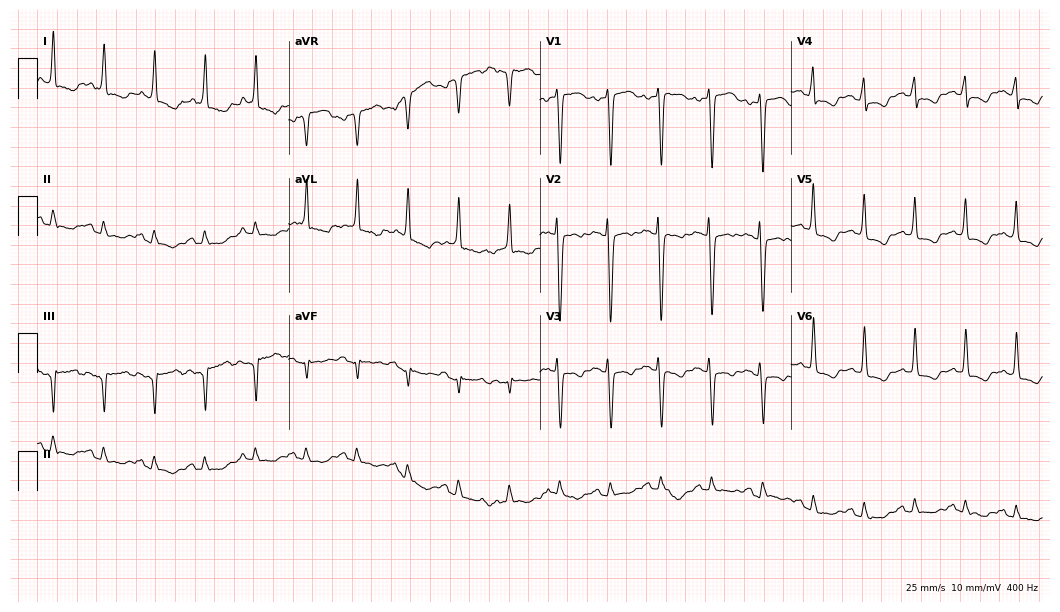
Electrocardiogram, a female, 79 years old. Interpretation includes sinus tachycardia (a sinus rate of 100 beats per minute or more).